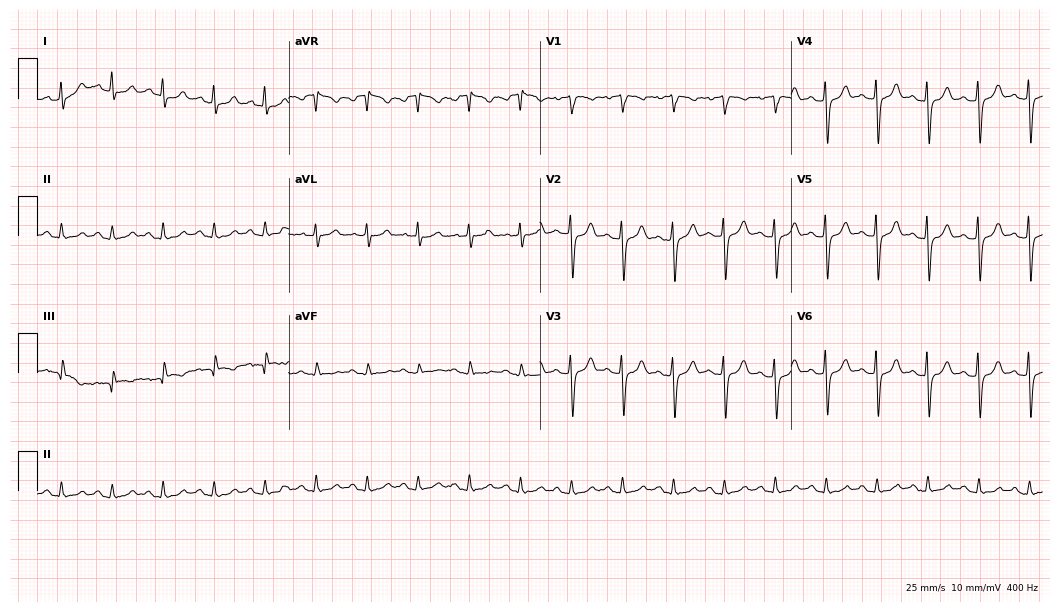
12-lead ECG (10.2-second recording at 400 Hz) from a 78-year-old male. Findings include sinus tachycardia (a sinus rate of 100 beats per minute or more).